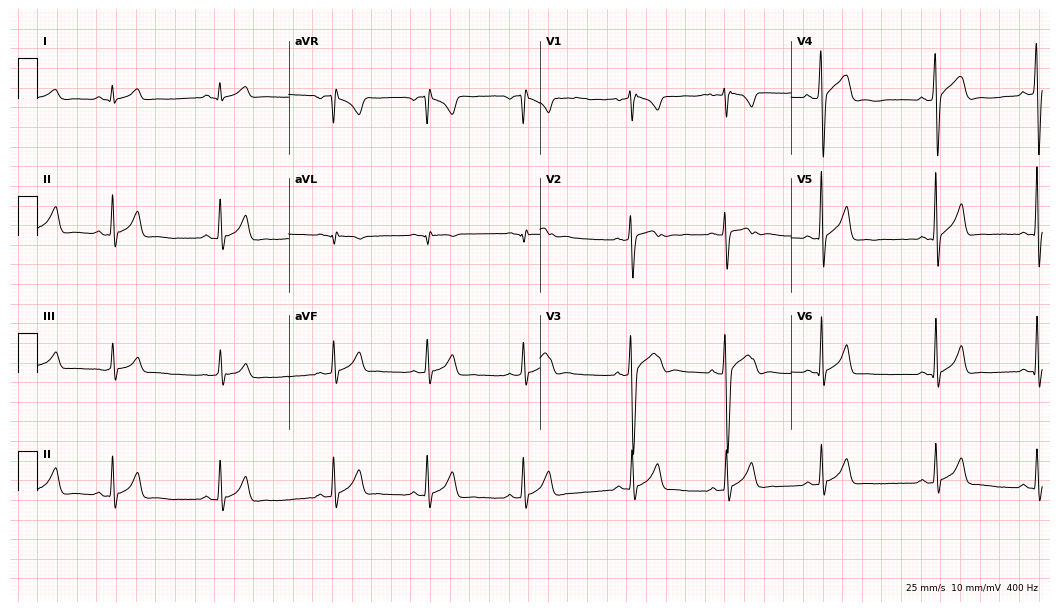
Electrocardiogram, a man, 18 years old. Overall reading on record: normal ECG.